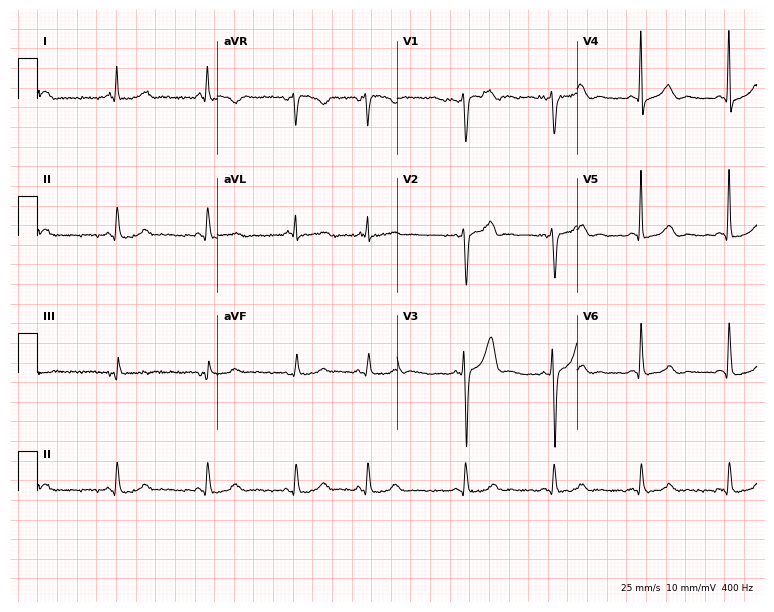
12-lead ECG from a man, 72 years old. No first-degree AV block, right bundle branch block (RBBB), left bundle branch block (LBBB), sinus bradycardia, atrial fibrillation (AF) or sinus tachycardia recorded for this tracing. Only these six findings were labelled.